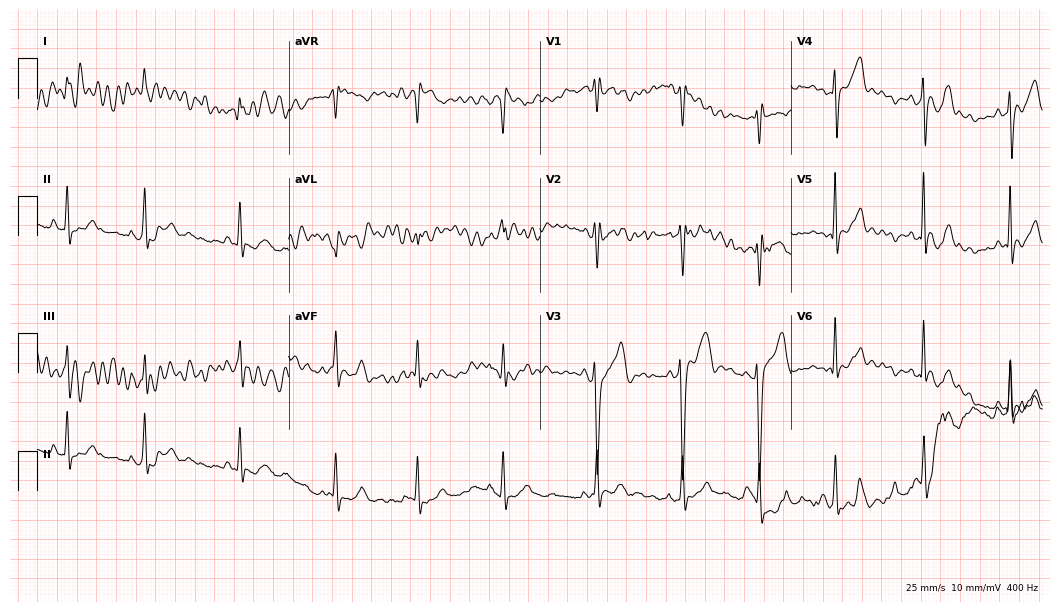
ECG — a man, 27 years old. Screened for six findings — first-degree AV block, right bundle branch block, left bundle branch block, sinus bradycardia, atrial fibrillation, sinus tachycardia — none is recorded. Other findings, if any, are not listed.